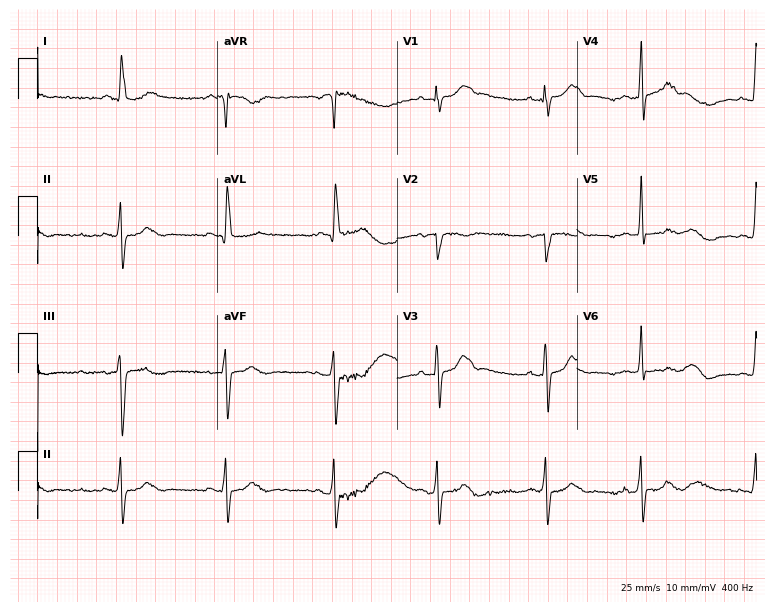
Resting 12-lead electrocardiogram (7.3-second recording at 400 Hz). Patient: an 81-year-old woman. None of these six findings is recorded: first-degree AV block, right bundle branch block, left bundle branch block, sinus bradycardia, atrial fibrillation, sinus tachycardia. Findings outside these six are not listed.